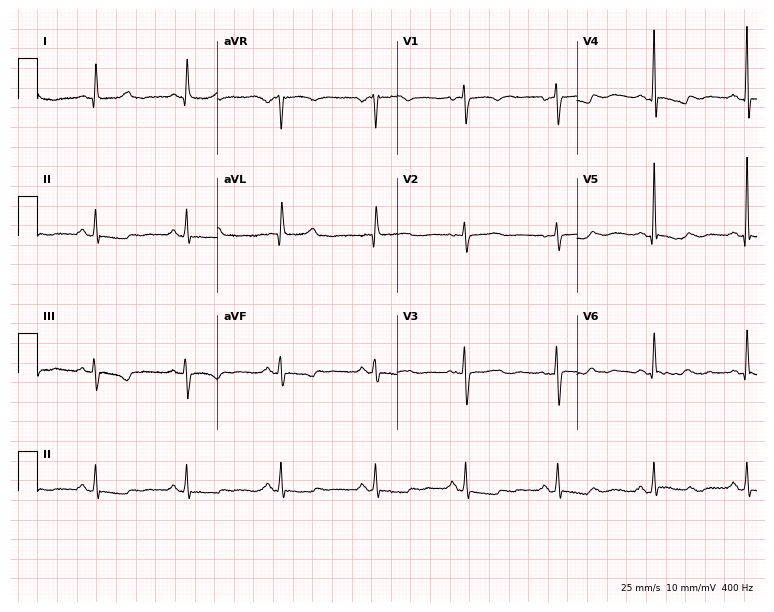
ECG (7.3-second recording at 400 Hz) — a female, 68 years old. Screened for six findings — first-degree AV block, right bundle branch block, left bundle branch block, sinus bradycardia, atrial fibrillation, sinus tachycardia — none is recorded.